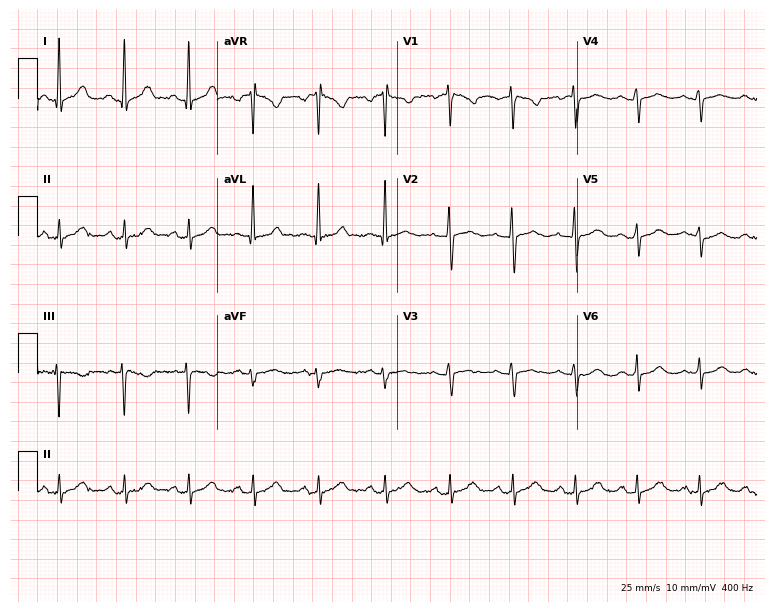
Electrocardiogram, a female patient, 43 years old. Of the six screened findings (first-degree AV block, right bundle branch block, left bundle branch block, sinus bradycardia, atrial fibrillation, sinus tachycardia), none is recorded.